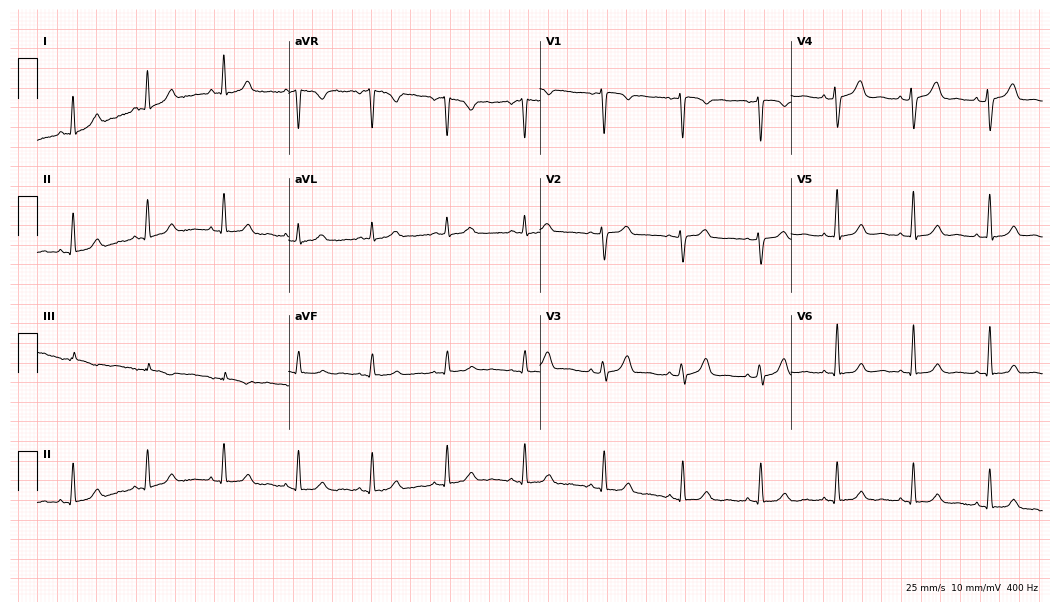
Resting 12-lead electrocardiogram (10.2-second recording at 400 Hz). Patient: a female, 45 years old. Read as a normal ECG.